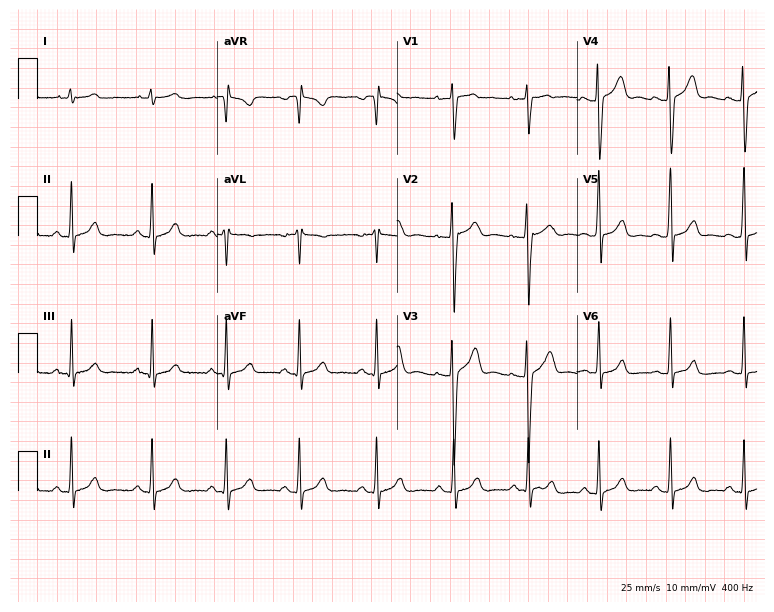
Electrocardiogram (7.3-second recording at 400 Hz), an 18-year-old male patient. Overall reading on record: normal ECG.